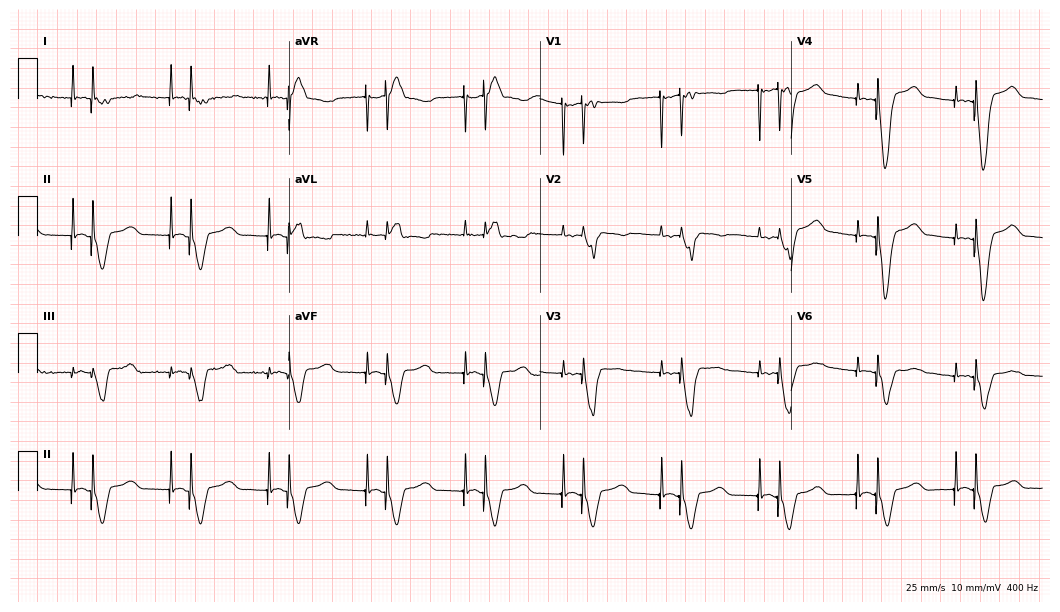
ECG — a 79-year-old female patient. Screened for six findings — first-degree AV block, right bundle branch block (RBBB), left bundle branch block (LBBB), sinus bradycardia, atrial fibrillation (AF), sinus tachycardia — none is recorded.